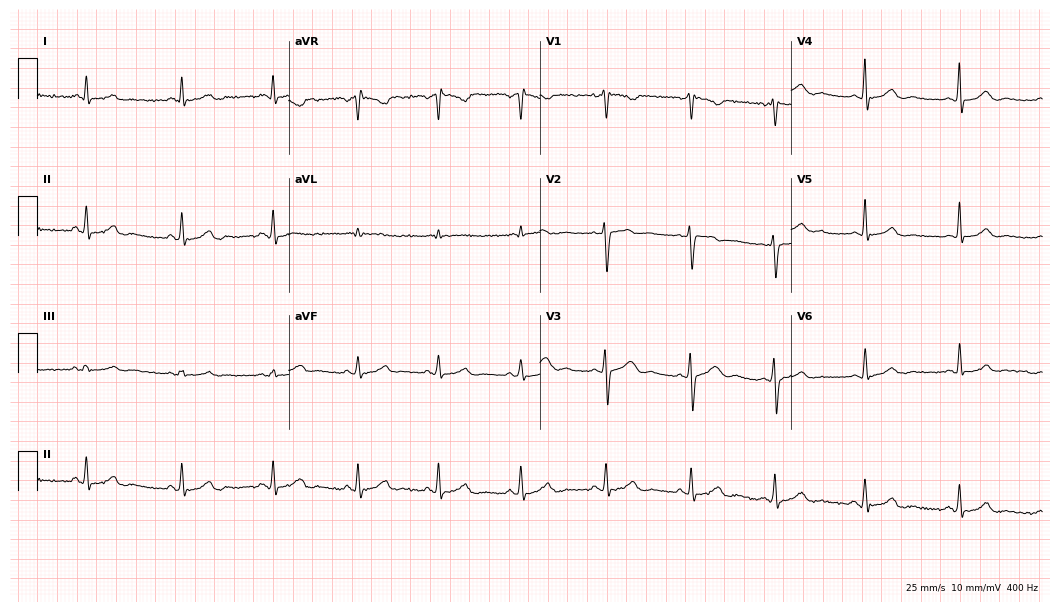
Electrocardiogram (10.2-second recording at 400 Hz), a 27-year-old woman. Overall reading on record: normal ECG.